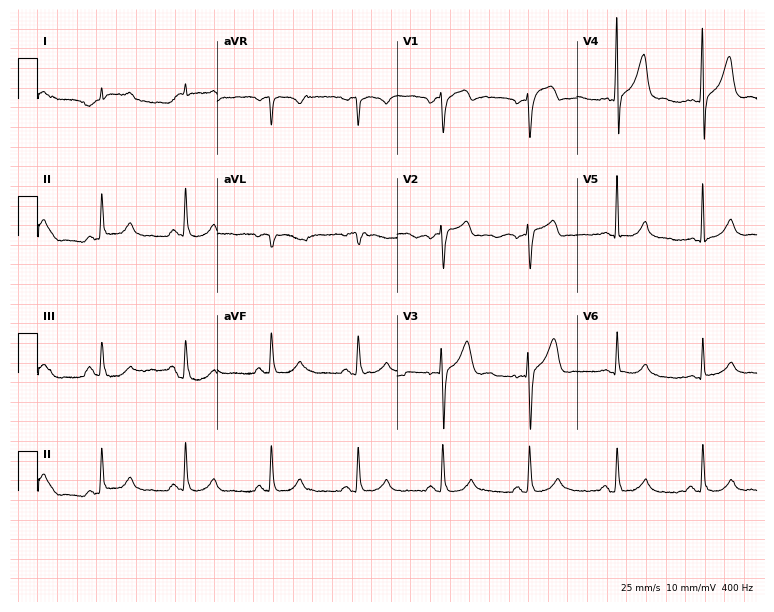
Electrocardiogram, a 71-year-old male patient. Of the six screened findings (first-degree AV block, right bundle branch block, left bundle branch block, sinus bradycardia, atrial fibrillation, sinus tachycardia), none is recorded.